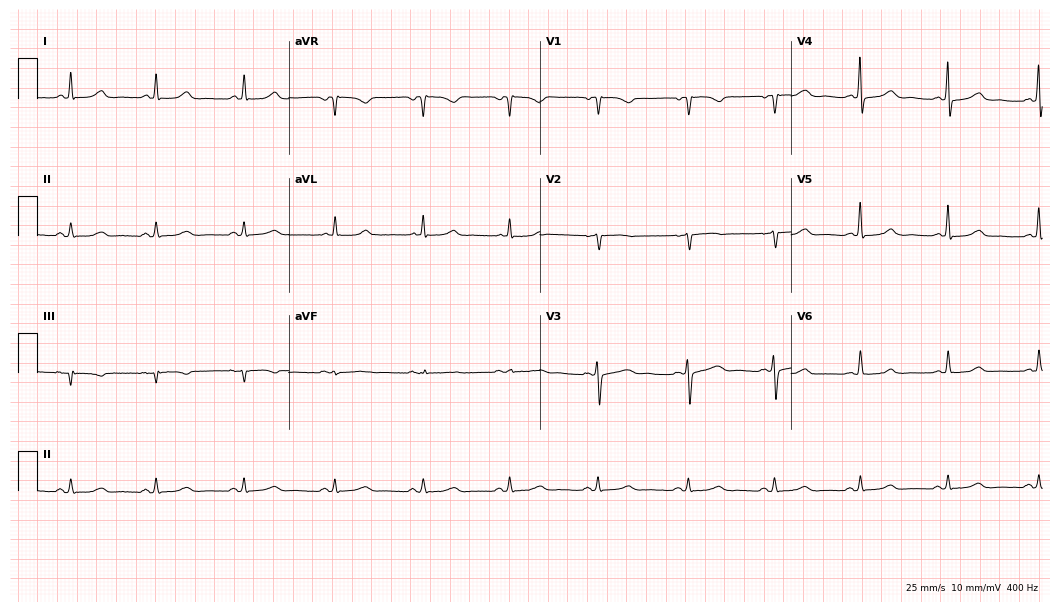
Standard 12-lead ECG recorded from a 65-year-old woman. None of these six findings is recorded: first-degree AV block, right bundle branch block (RBBB), left bundle branch block (LBBB), sinus bradycardia, atrial fibrillation (AF), sinus tachycardia.